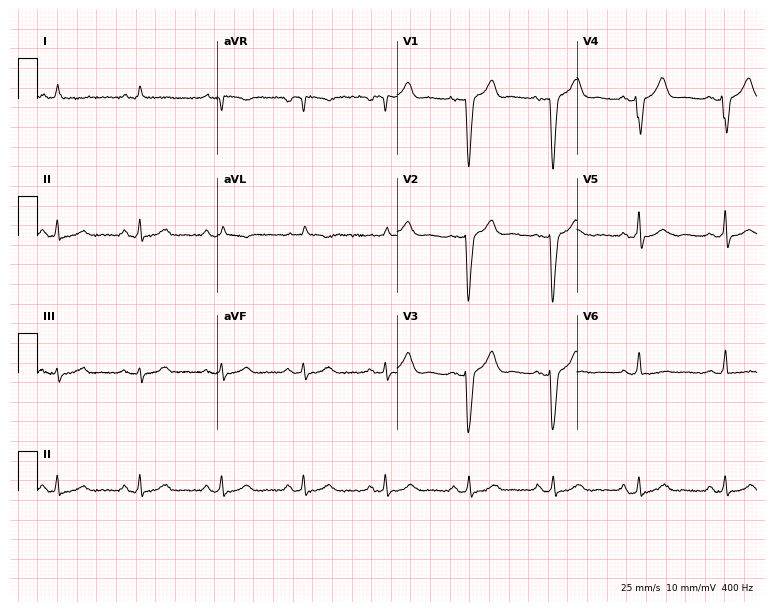
12-lead ECG (7.3-second recording at 400 Hz) from a male patient, 84 years old. Labelled as a normal ECG.